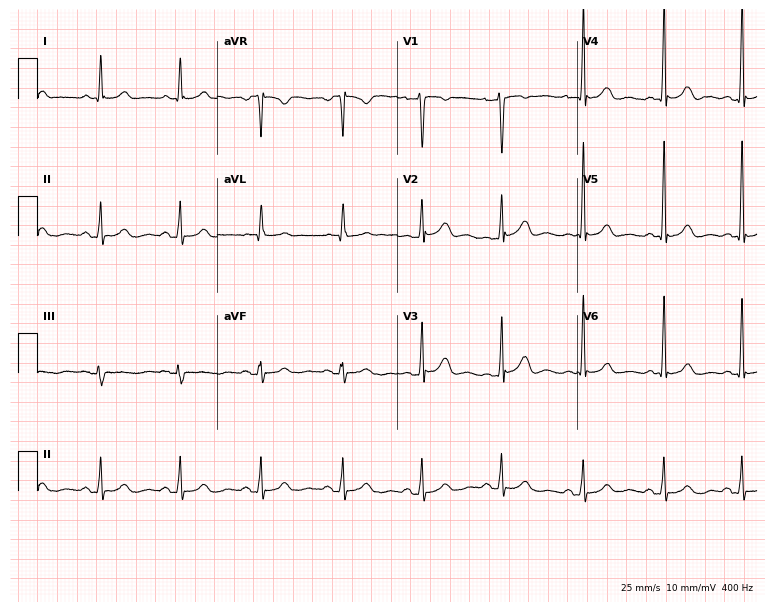
ECG (7.3-second recording at 400 Hz) — a 37-year-old female. Labelled as a normal ECG.